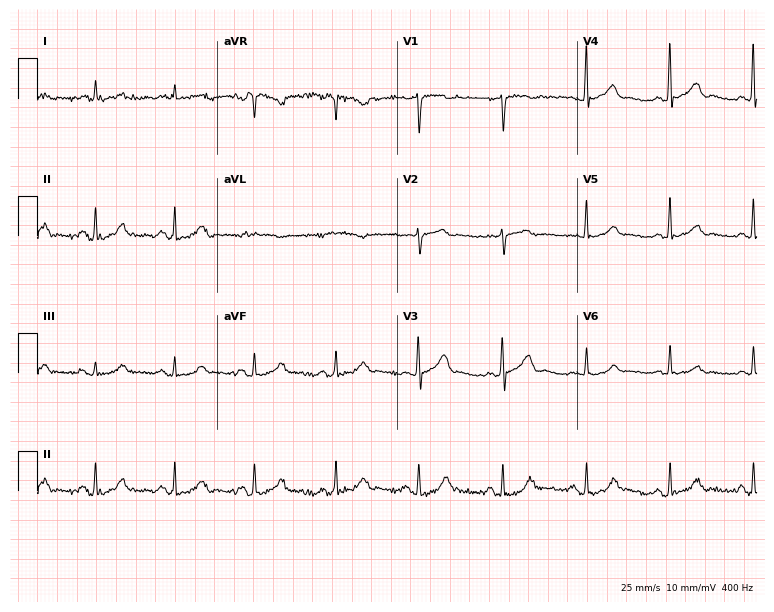
12-lead ECG from a man, 72 years old. Labelled as a normal ECG.